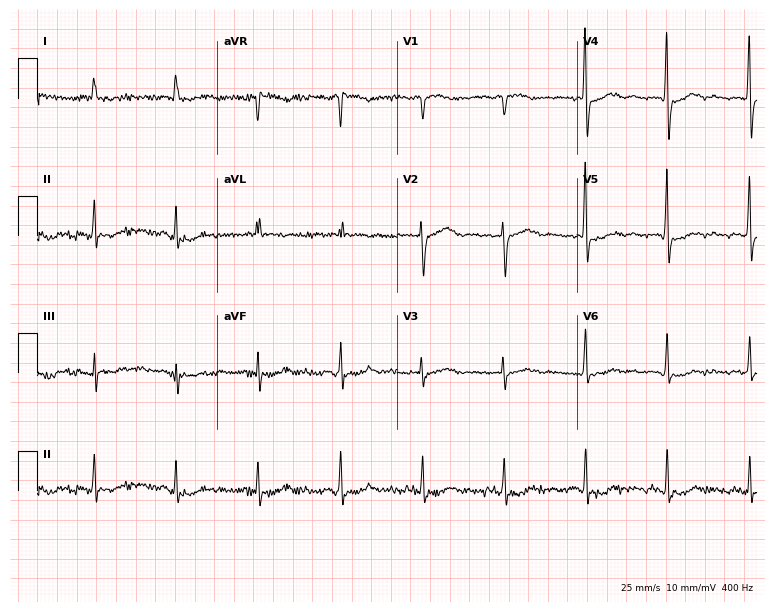
Electrocardiogram, a female, 78 years old. Of the six screened findings (first-degree AV block, right bundle branch block, left bundle branch block, sinus bradycardia, atrial fibrillation, sinus tachycardia), none is recorded.